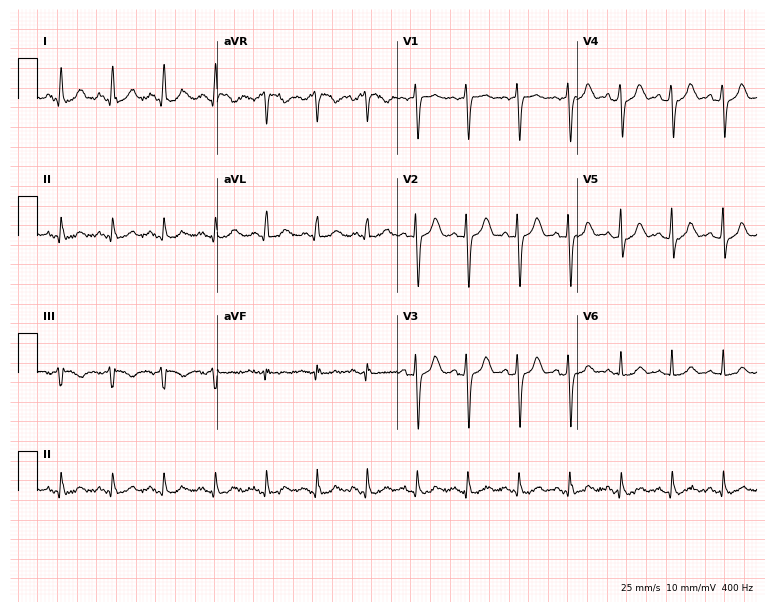
12-lead ECG from a 69-year-old woman (7.3-second recording at 400 Hz). Shows sinus tachycardia (a sinus rate of 100 beats per minute or more).